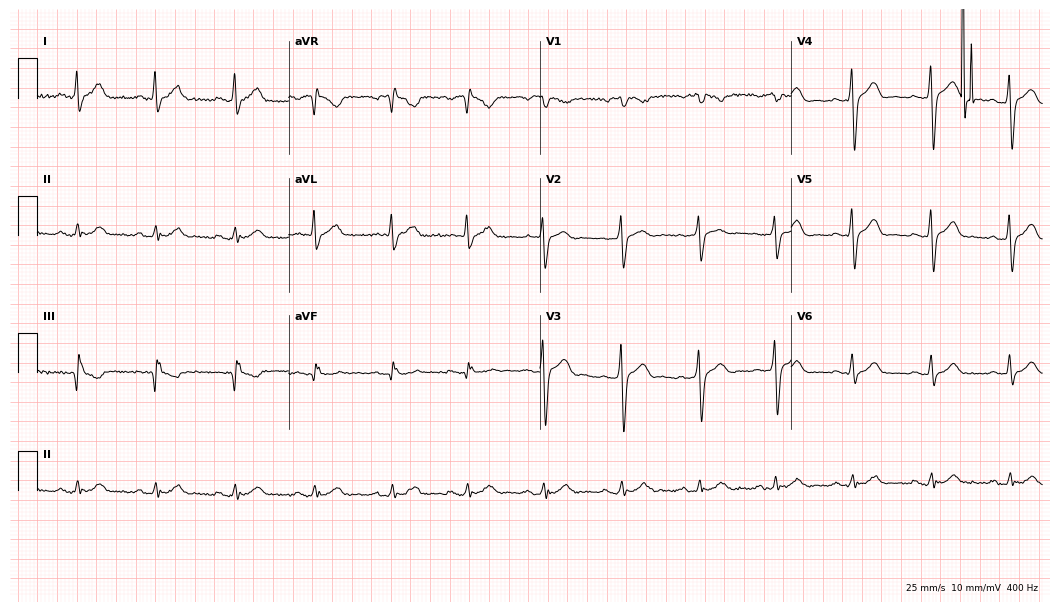
ECG (10.2-second recording at 400 Hz) — a man, 43 years old. Screened for six findings — first-degree AV block, right bundle branch block, left bundle branch block, sinus bradycardia, atrial fibrillation, sinus tachycardia — none is recorded. Findings outside these six are not listed.